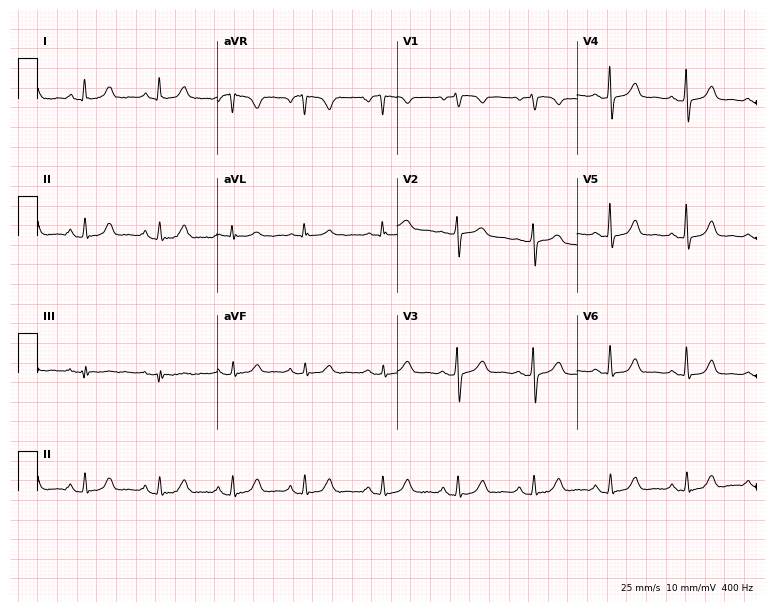
Electrocardiogram (7.3-second recording at 400 Hz), a female patient, 56 years old. Of the six screened findings (first-degree AV block, right bundle branch block, left bundle branch block, sinus bradycardia, atrial fibrillation, sinus tachycardia), none is recorded.